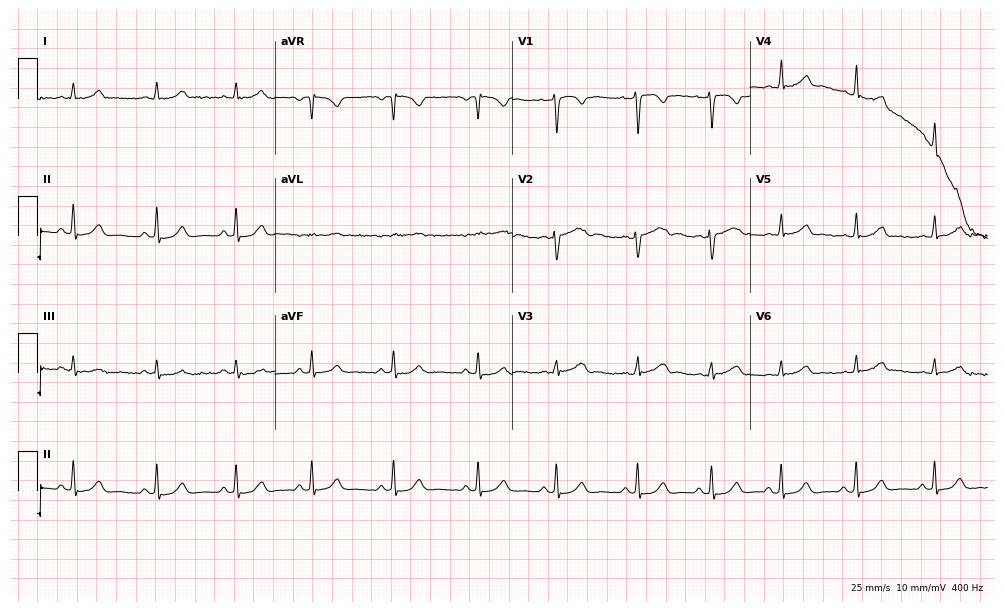
Electrocardiogram (9.7-second recording at 400 Hz), a 20-year-old female patient. Overall reading on record: normal ECG.